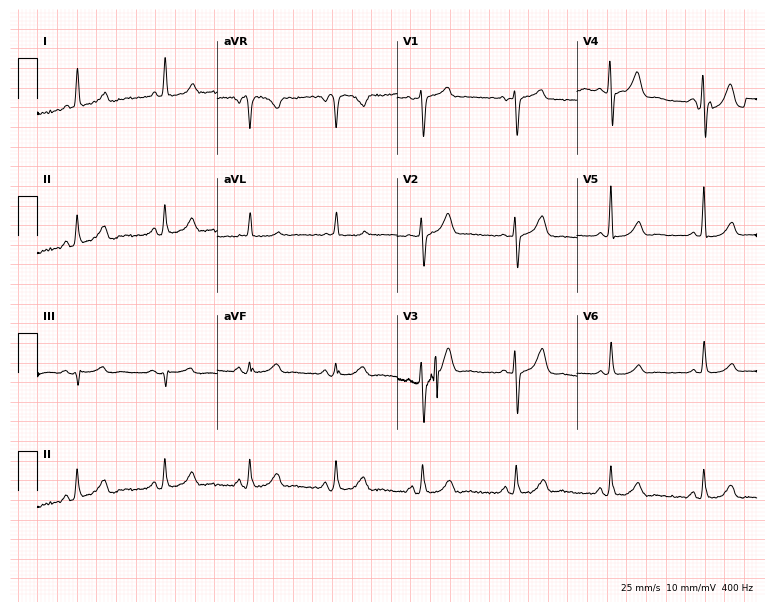
12-lead ECG from a 68-year-old woman. No first-degree AV block, right bundle branch block (RBBB), left bundle branch block (LBBB), sinus bradycardia, atrial fibrillation (AF) or sinus tachycardia recorded for this tracing. Only these six findings were labelled.